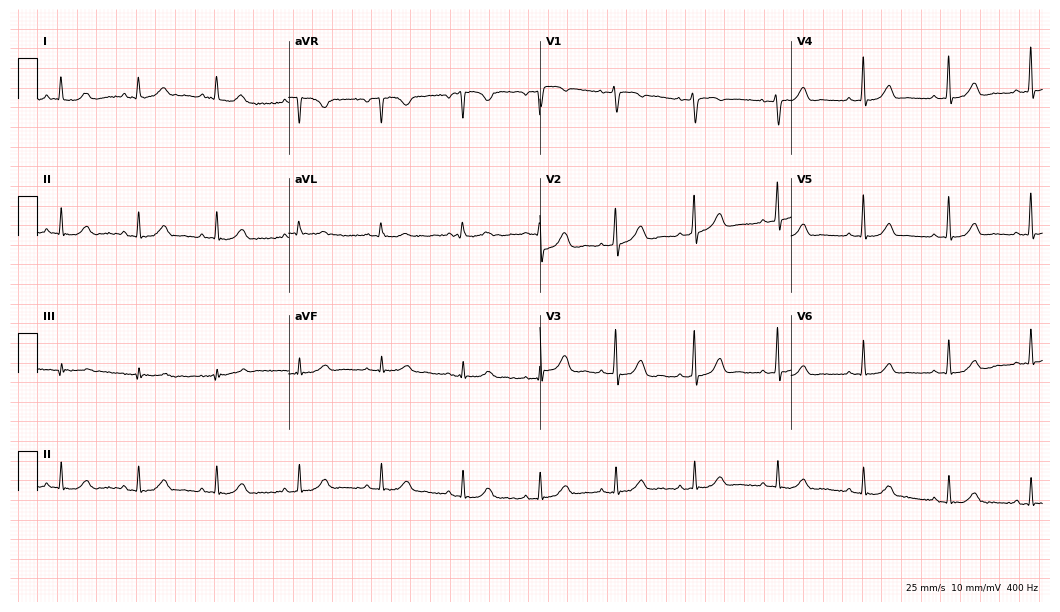
Electrocardiogram, a woman, 49 years old. Overall reading on record: normal ECG.